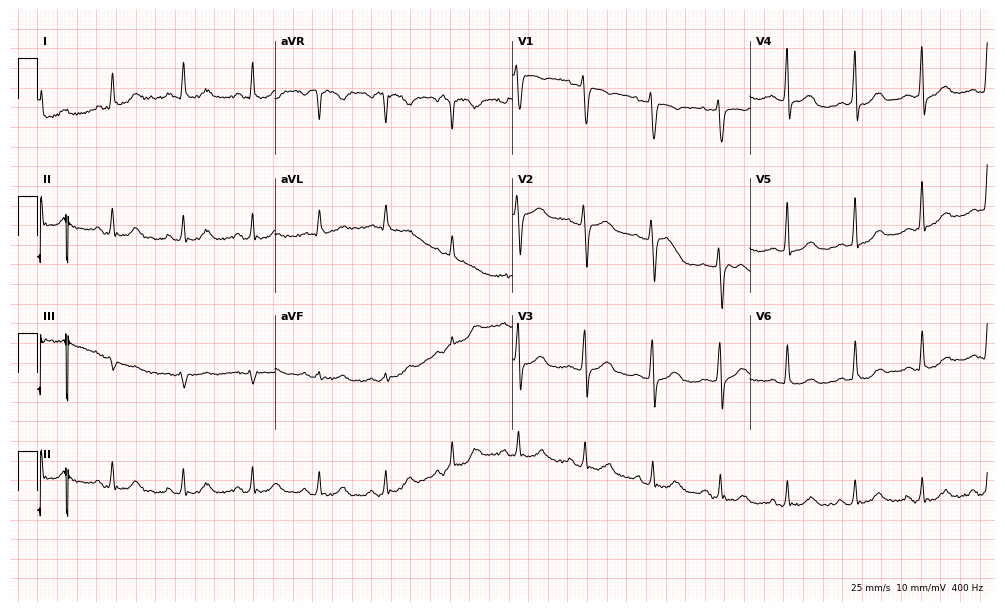
Electrocardiogram, a 60-year-old woman. Overall reading on record: normal ECG.